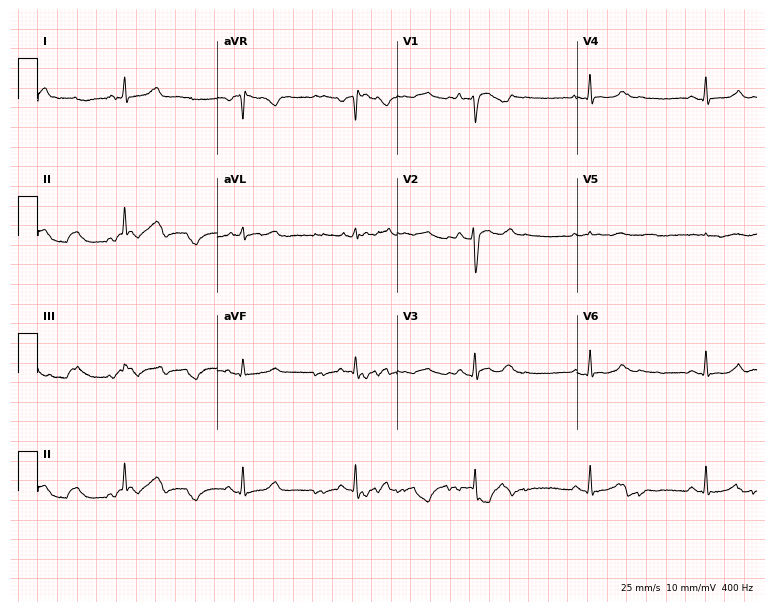
12-lead ECG from a 37-year-old woman (7.3-second recording at 400 Hz). No first-degree AV block, right bundle branch block, left bundle branch block, sinus bradycardia, atrial fibrillation or sinus tachycardia recorded for this tracing.